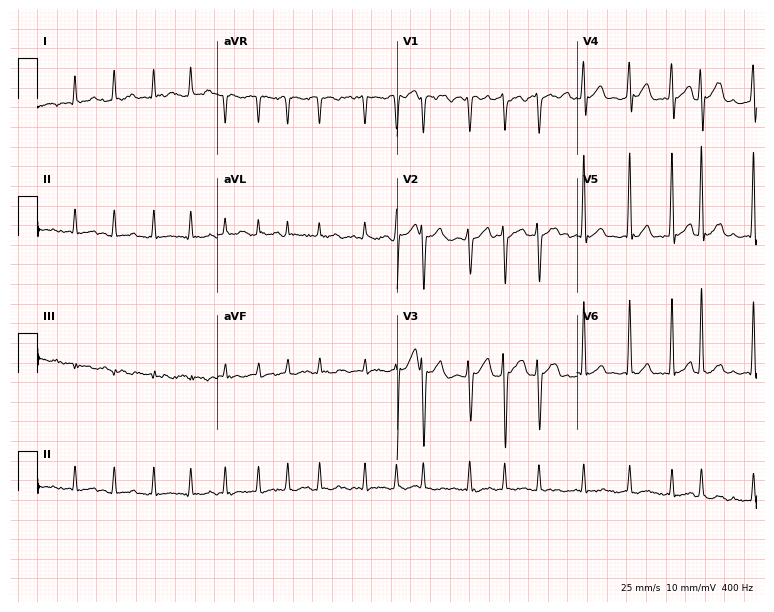
12-lead ECG from a 58-year-old male patient. Shows atrial fibrillation.